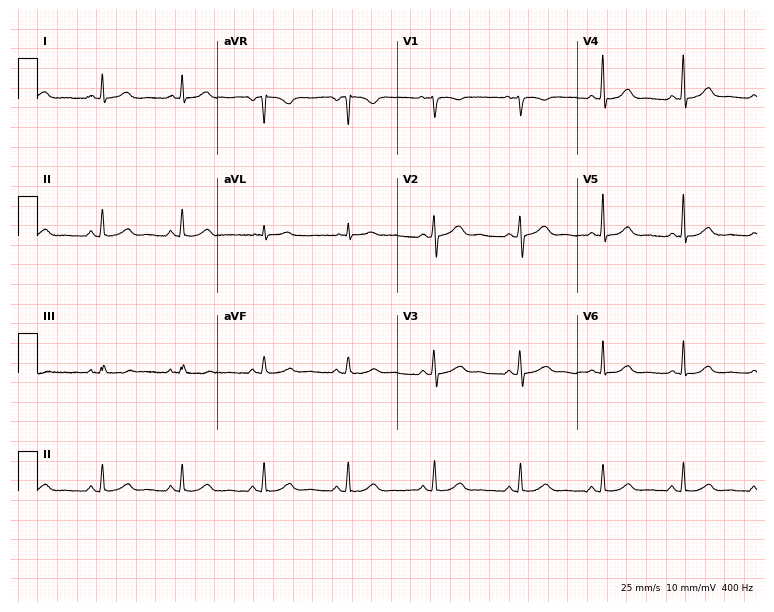
Electrocardiogram (7.3-second recording at 400 Hz), a 45-year-old female. Of the six screened findings (first-degree AV block, right bundle branch block, left bundle branch block, sinus bradycardia, atrial fibrillation, sinus tachycardia), none is recorded. Other findings, if any, are not listed.